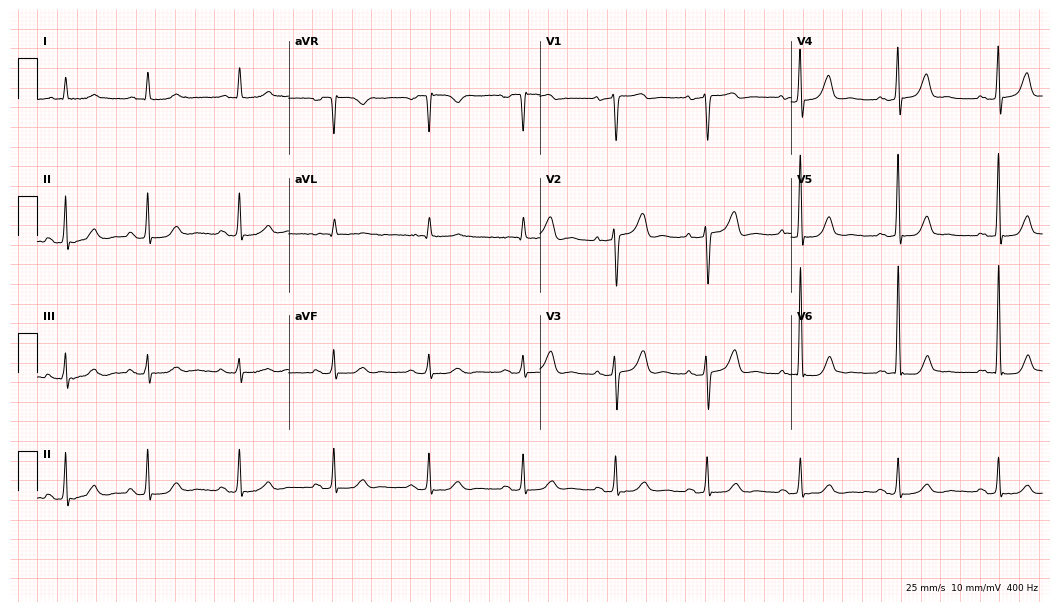
Electrocardiogram (10.2-second recording at 400 Hz), a 58-year-old female patient. Of the six screened findings (first-degree AV block, right bundle branch block, left bundle branch block, sinus bradycardia, atrial fibrillation, sinus tachycardia), none is recorded.